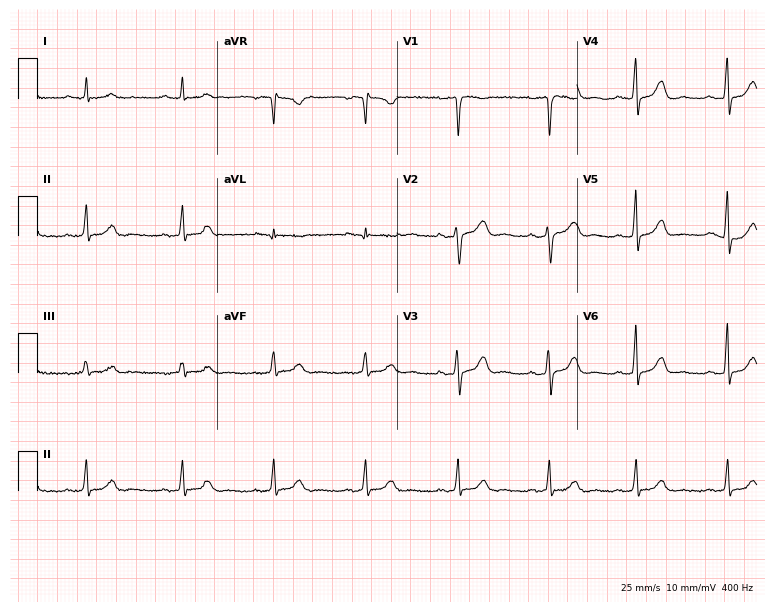
Standard 12-lead ECG recorded from a female, 33 years old. Read as a normal ECG.